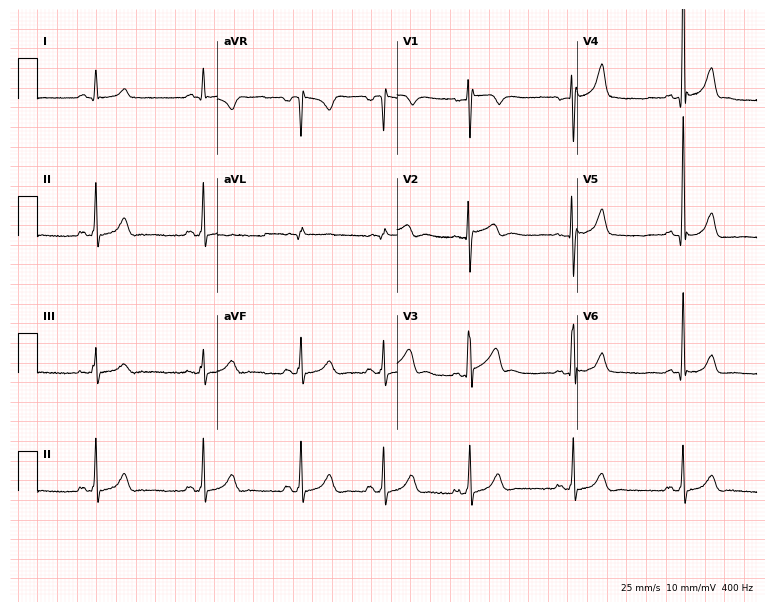
ECG — a 32-year-old male. Labelled as a normal ECG.